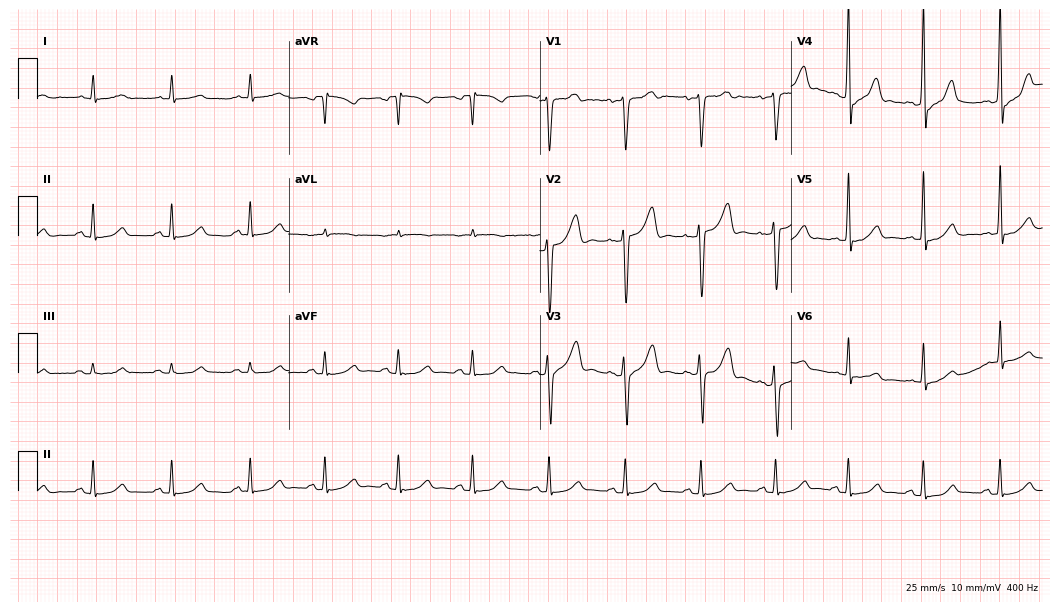
Resting 12-lead electrocardiogram (10.2-second recording at 400 Hz). Patient: a male, 56 years old. Read as a normal ECG.